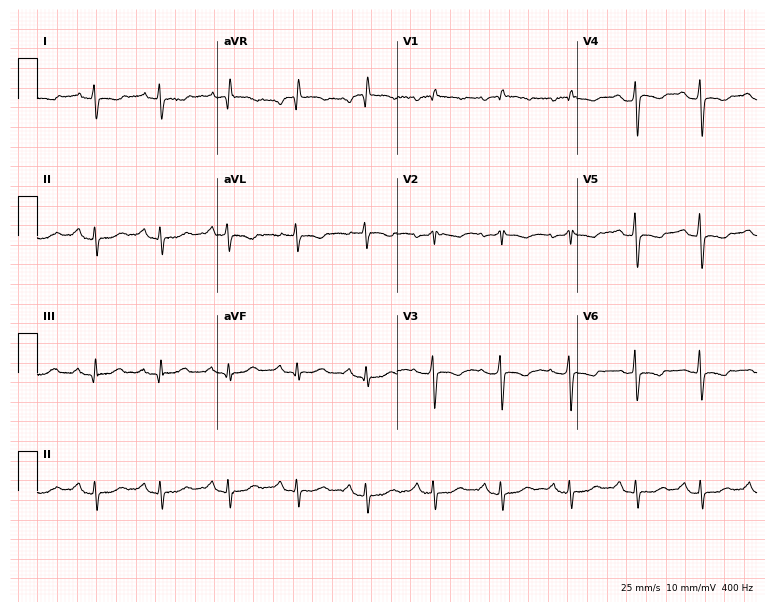
Standard 12-lead ECG recorded from a 56-year-old female patient. None of these six findings is recorded: first-degree AV block, right bundle branch block (RBBB), left bundle branch block (LBBB), sinus bradycardia, atrial fibrillation (AF), sinus tachycardia.